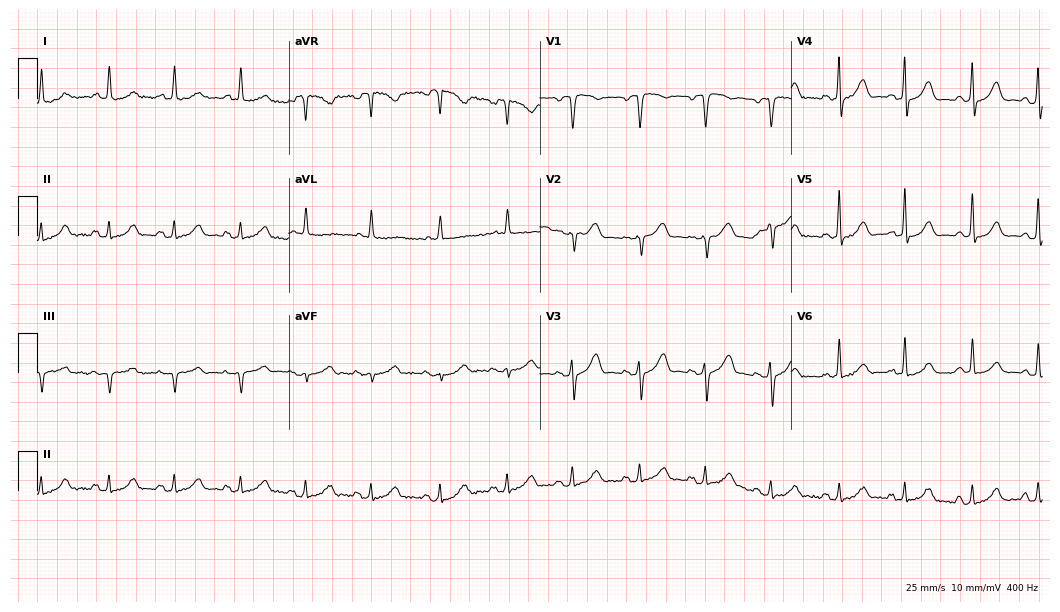
ECG (10.2-second recording at 400 Hz) — a female patient, 79 years old. Labelled as a normal ECG.